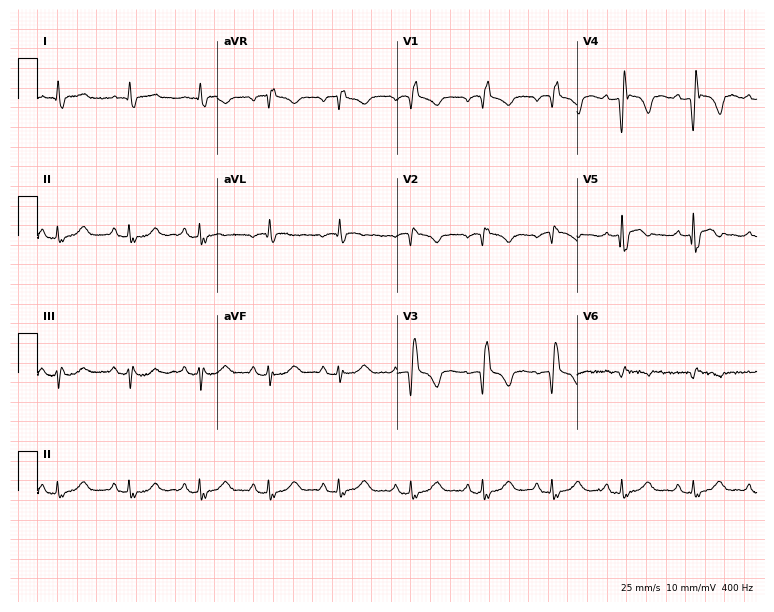
12-lead ECG (7.3-second recording at 400 Hz) from an 82-year-old man. Screened for six findings — first-degree AV block, right bundle branch block, left bundle branch block, sinus bradycardia, atrial fibrillation, sinus tachycardia — none is recorded. Other findings, if any, are not listed.